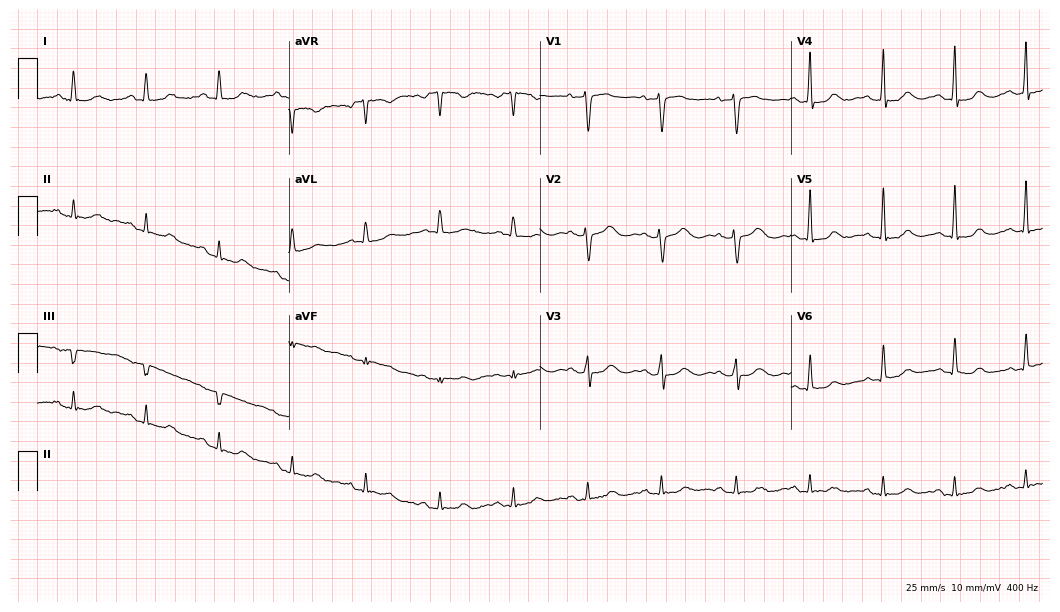
12-lead ECG from a 59-year-old woman. No first-degree AV block, right bundle branch block (RBBB), left bundle branch block (LBBB), sinus bradycardia, atrial fibrillation (AF) or sinus tachycardia recorded for this tracing. Only these six findings were labelled.